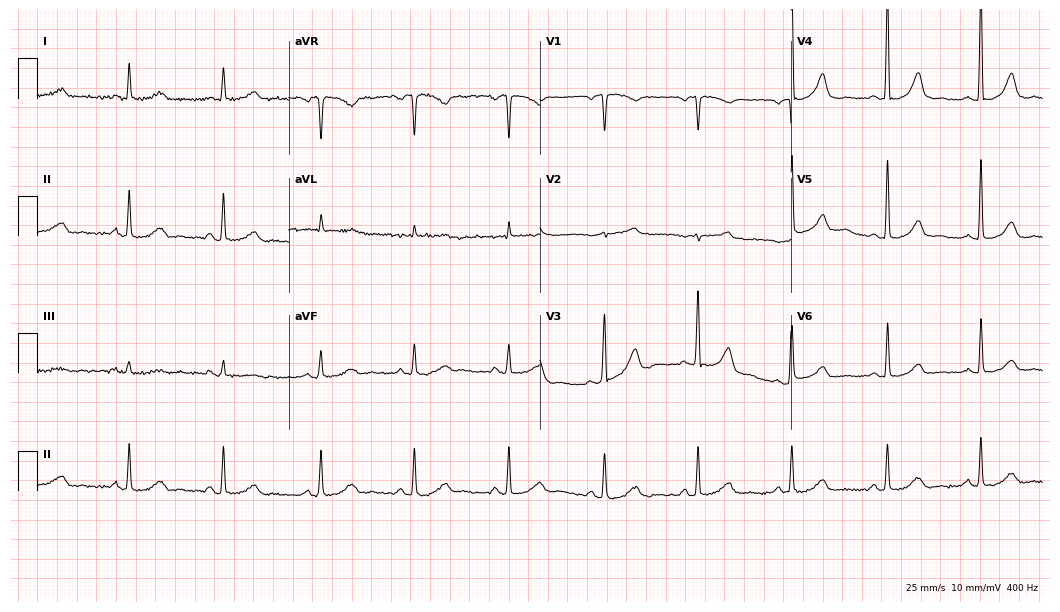
Standard 12-lead ECG recorded from a female, 66 years old (10.2-second recording at 400 Hz). Read as a normal ECG.